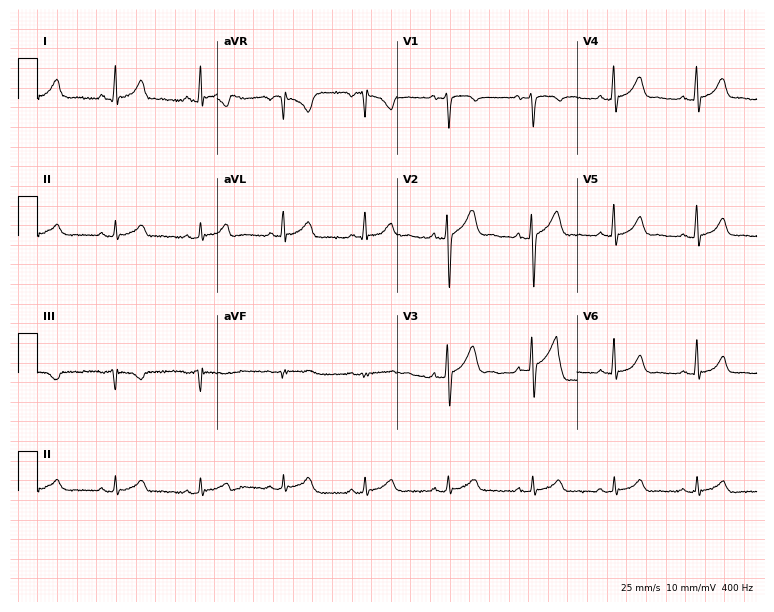
12-lead ECG (7.3-second recording at 400 Hz) from a male patient, 30 years old. Labelled as a normal ECG.